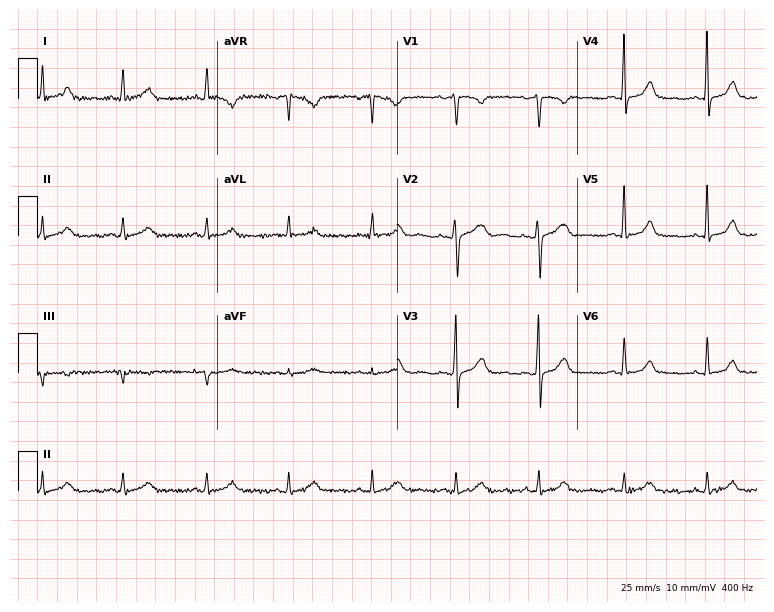
ECG — a 49-year-old female patient. Screened for six findings — first-degree AV block, right bundle branch block, left bundle branch block, sinus bradycardia, atrial fibrillation, sinus tachycardia — none is recorded.